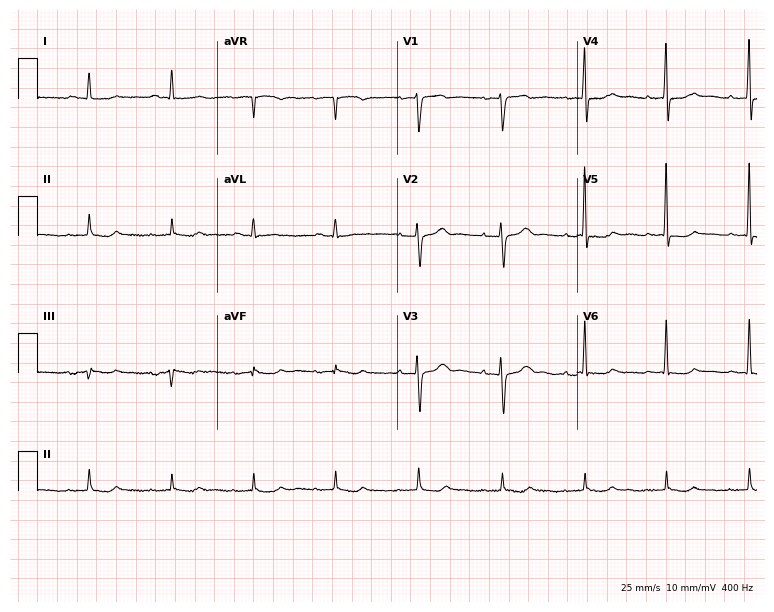
Standard 12-lead ECG recorded from a woman, 84 years old (7.3-second recording at 400 Hz). None of these six findings is recorded: first-degree AV block, right bundle branch block (RBBB), left bundle branch block (LBBB), sinus bradycardia, atrial fibrillation (AF), sinus tachycardia. Findings outside these six are not listed.